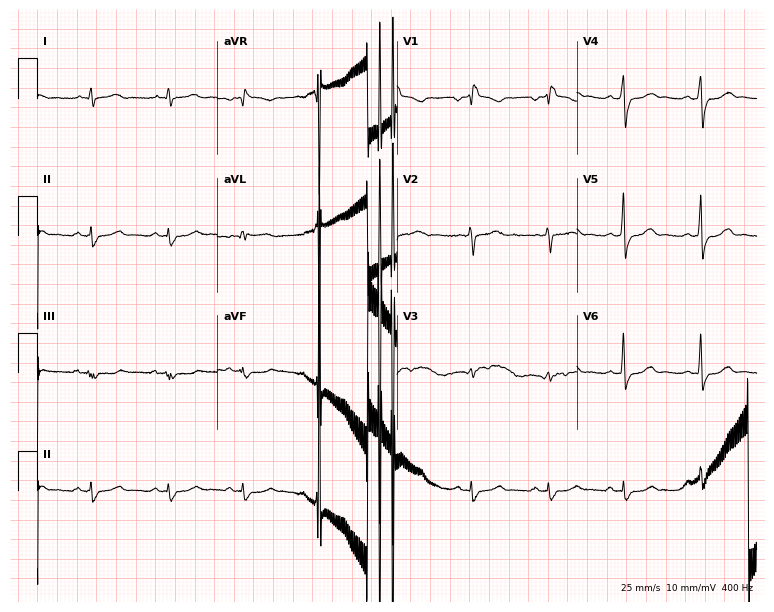
12-lead ECG (7.3-second recording at 400 Hz) from a 37-year-old female patient. Screened for six findings — first-degree AV block, right bundle branch block (RBBB), left bundle branch block (LBBB), sinus bradycardia, atrial fibrillation (AF), sinus tachycardia — none is recorded.